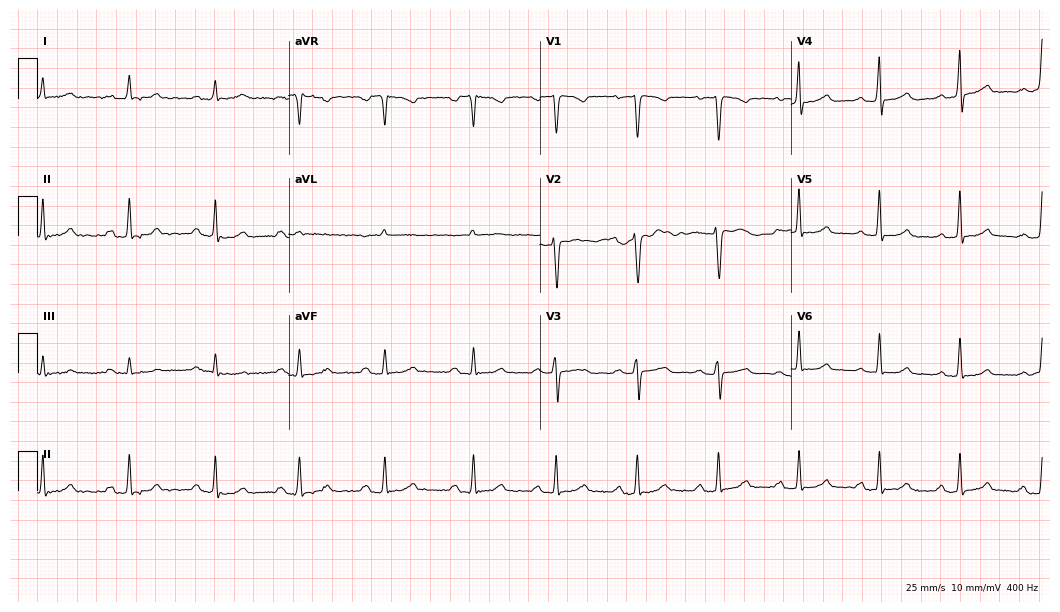
ECG — a female, 47 years old. Screened for six findings — first-degree AV block, right bundle branch block (RBBB), left bundle branch block (LBBB), sinus bradycardia, atrial fibrillation (AF), sinus tachycardia — none is recorded. Findings outside these six are not listed.